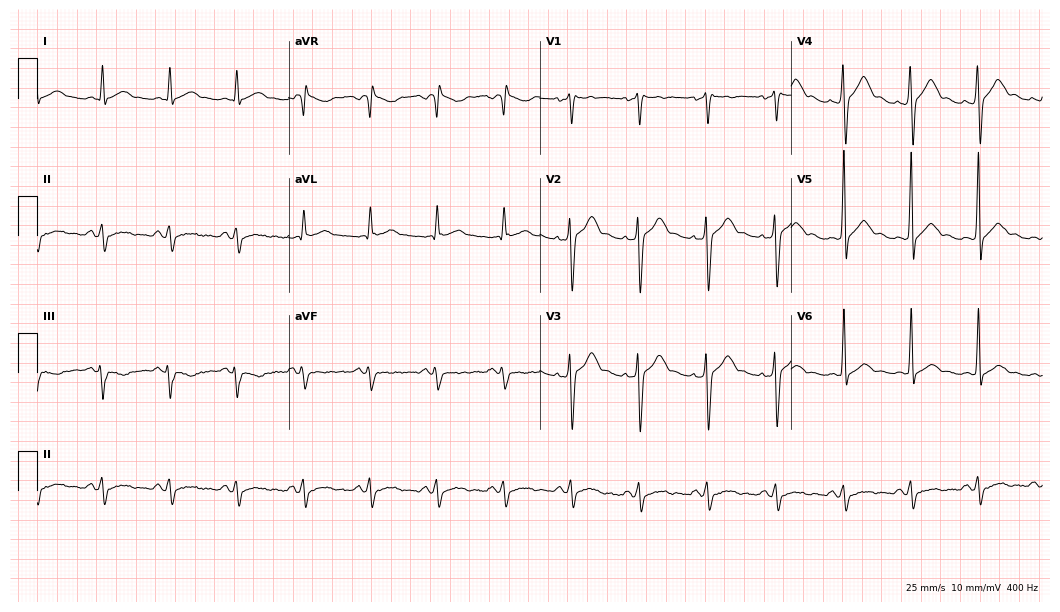
ECG — a 33-year-old male patient. Screened for six findings — first-degree AV block, right bundle branch block, left bundle branch block, sinus bradycardia, atrial fibrillation, sinus tachycardia — none is recorded. Findings outside these six are not listed.